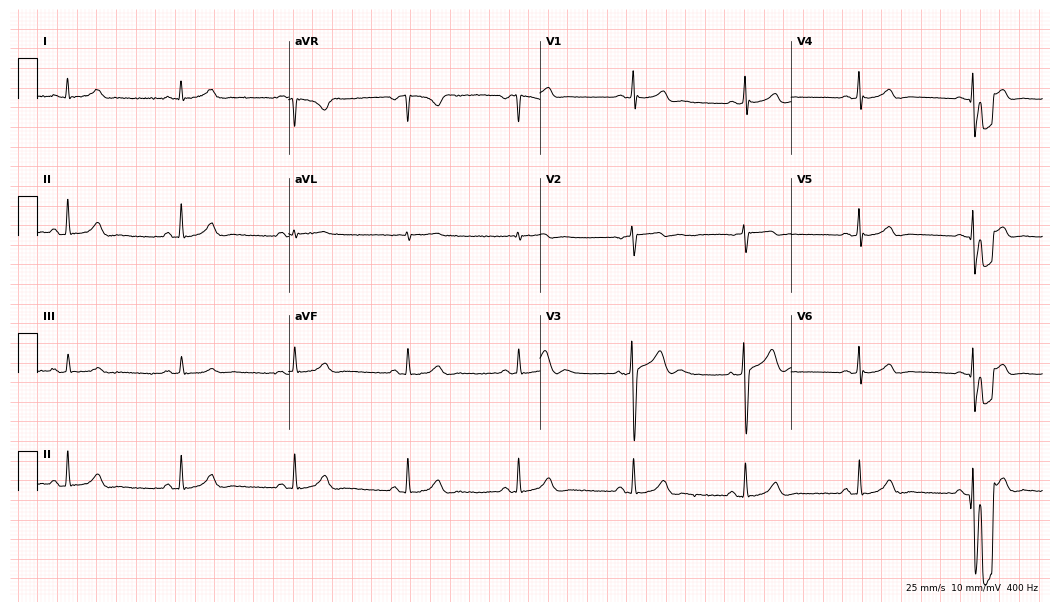
12-lead ECG from a 45-year-old man. Recorded interpretation: within normal limits.